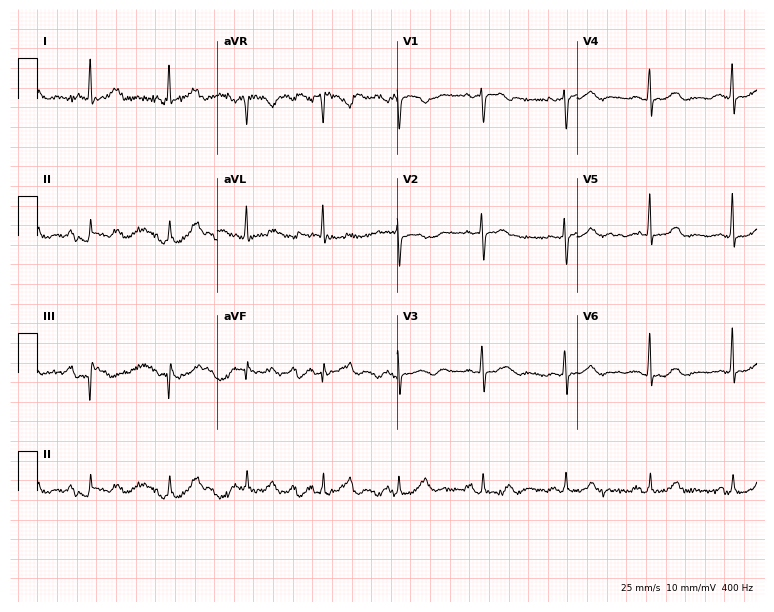
12-lead ECG from a woman, 78 years old. Screened for six findings — first-degree AV block, right bundle branch block (RBBB), left bundle branch block (LBBB), sinus bradycardia, atrial fibrillation (AF), sinus tachycardia — none is recorded.